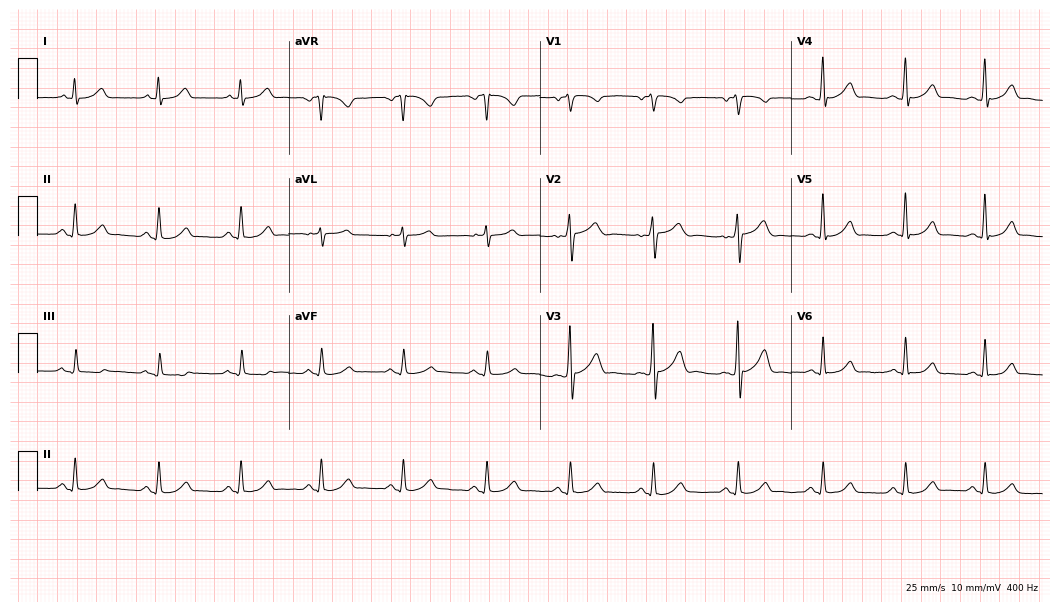
12-lead ECG from a male patient, 56 years old (10.2-second recording at 400 Hz). Recorded interpretation: within normal limits.